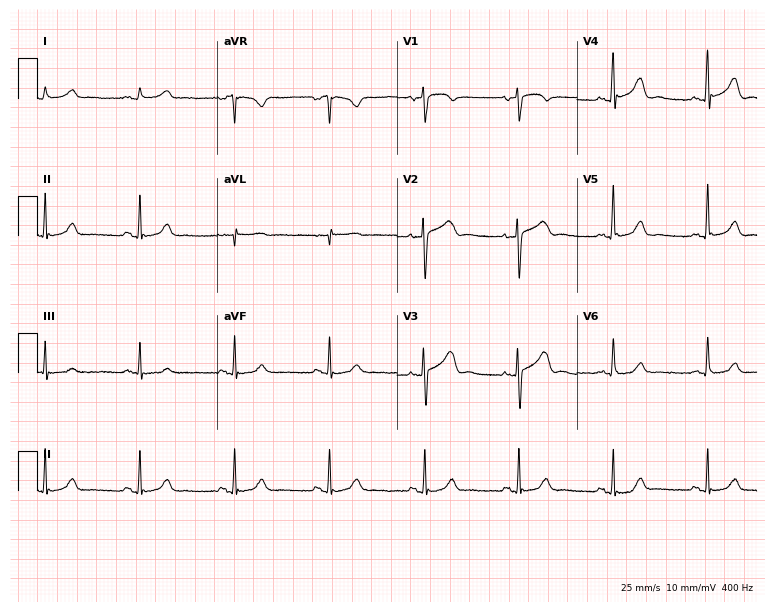
Standard 12-lead ECG recorded from a male, 63 years old. Read as a normal ECG.